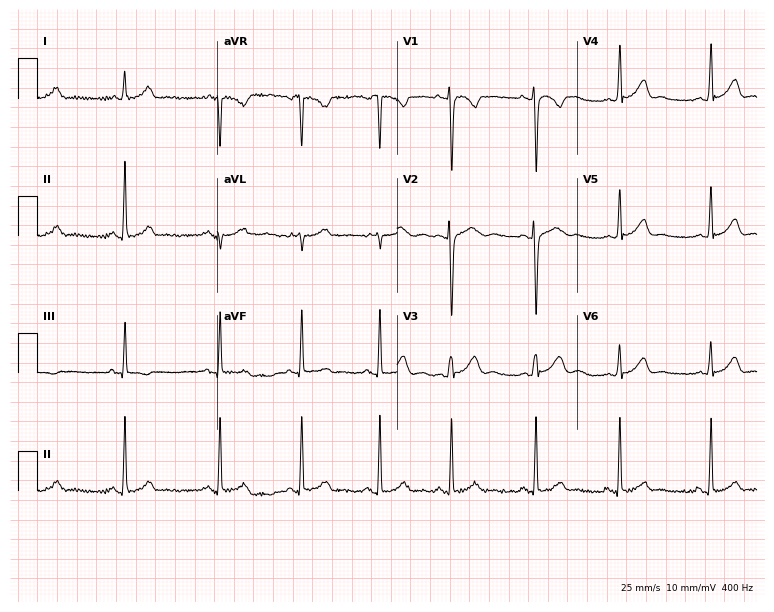
Electrocardiogram (7.3-second recording at 400 Hz), a 23-year-old woman. Of the six screened findings (first-degree AV block, right bundle branch block (RBBB), left bundle branch block (LBBB), sinus bradycardia, atrial fibrillation (AF), sinus tachycardia), none is recorded. Only these six findings were labelled.